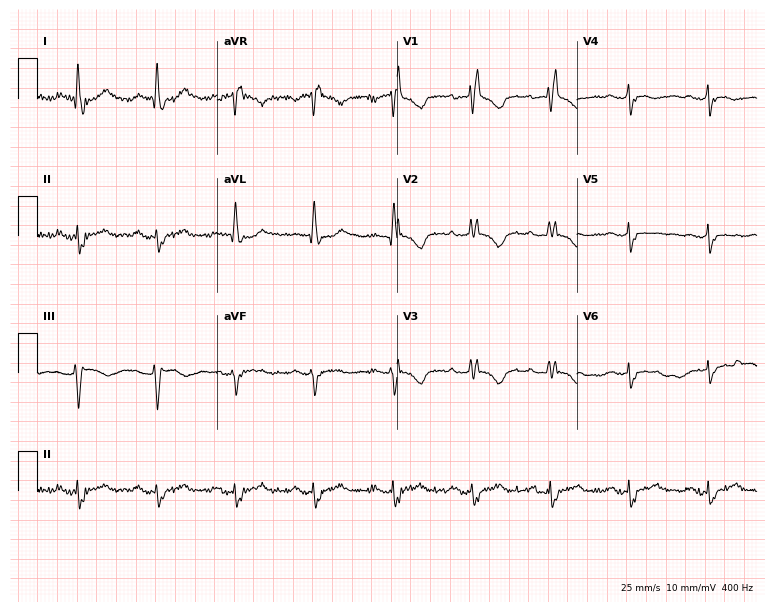
Electrocardiogram (7.3-second recording at 400 Hz), a female patient, 58 years old. Interpretation includes right bundle branch block (RBBB).